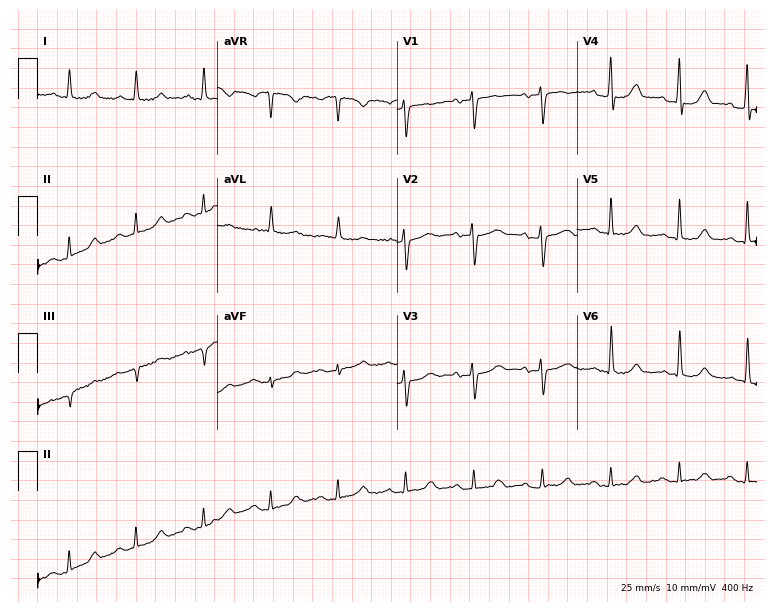
Electrocardiogram, a woman, 83 years old. Of the six screened findings (first-degree AV block, right bundle branch block (RBBB), left bundle branch block (LBBB), sinus bradycardia, atrial fibrillation (AF), sinus tachycardia), none is recorded. Findings outside these six are not listed.